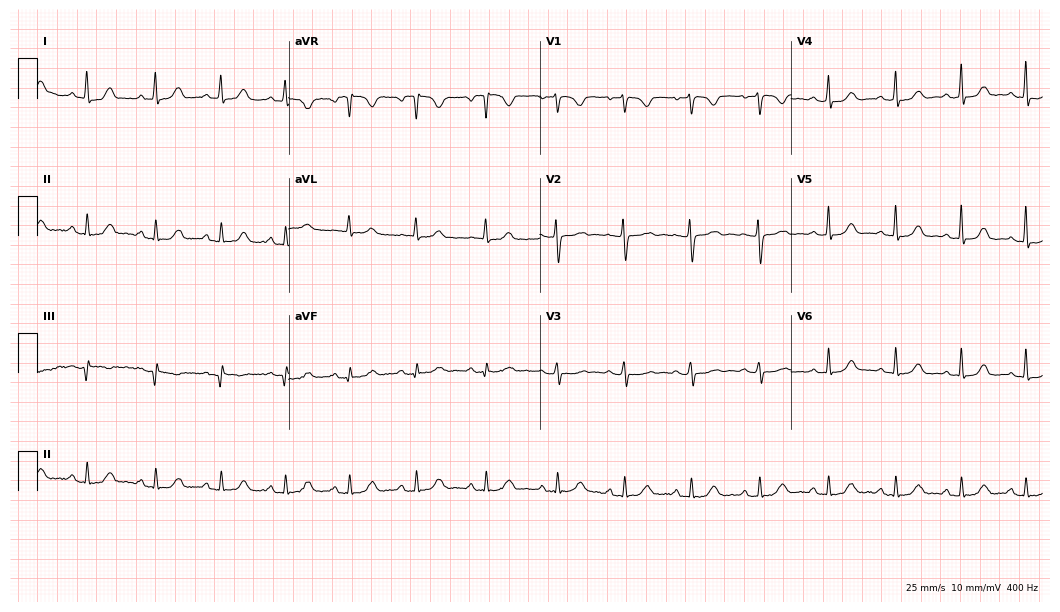
12-lead ECG from a 36-year-old female. Recorded interpretation: within normal limits.